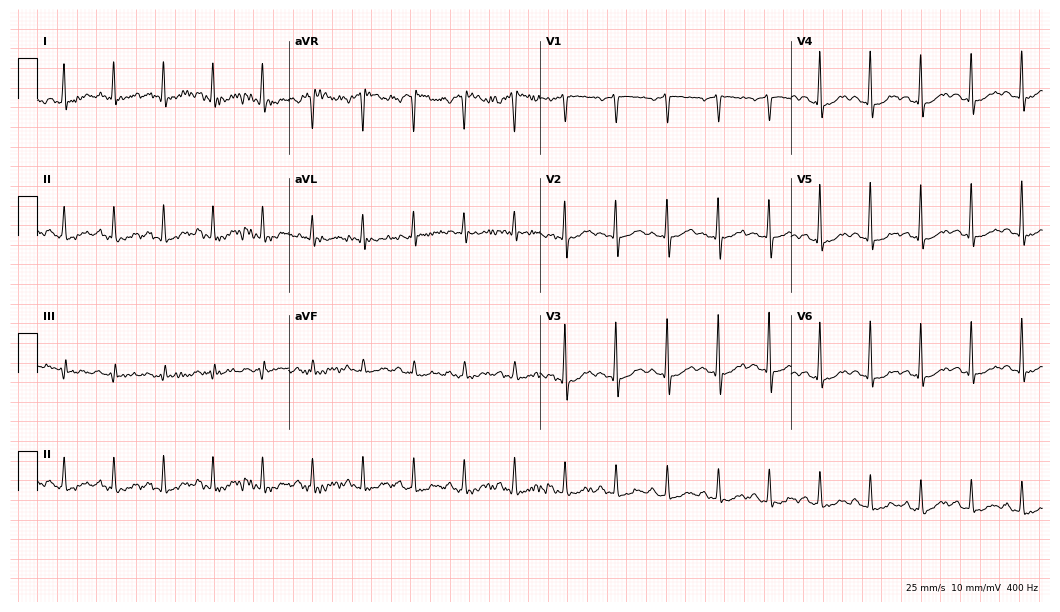
Standard 12-lead ECG recorded from a woman, 44 years old. The tracing shows sinus tachycardia (a sinus rate of 100 beats per minute or more).